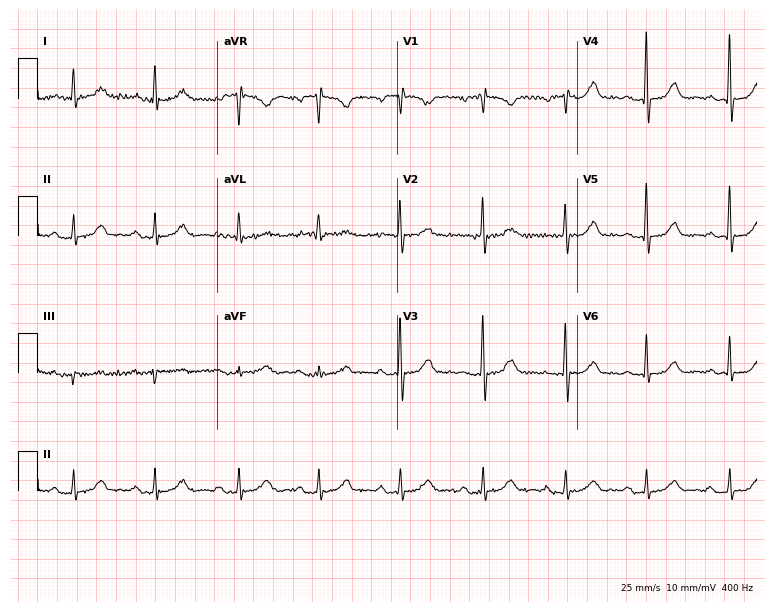
12-lead ECG from an 80-year-old female patient. Findings include first-degree AV block.